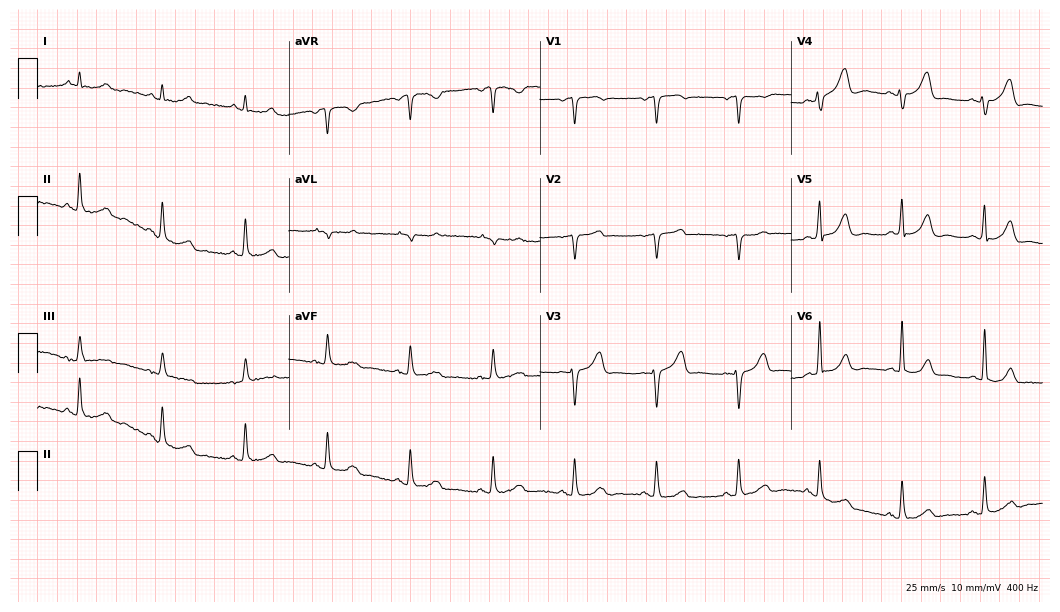
ECG — a 69-year-old male. Labelled as a normal ECG.